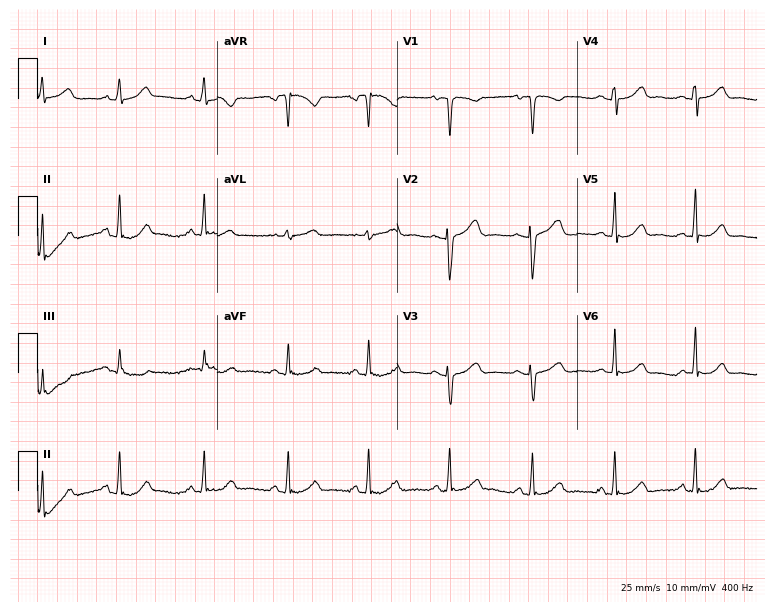
Resting 12-lead electrocardiogram (7.3-second recording at 400 Hz). Patient: a 34-year-old female. Read as a normal ECG.